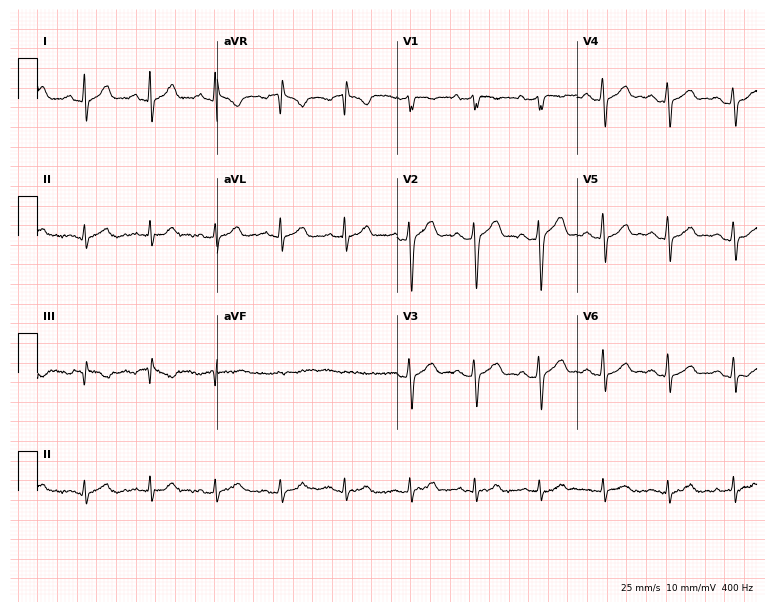
ECG (7.3-second recording at 400 Hz) — a man, 47 years old. Labelled as a normal ECG.